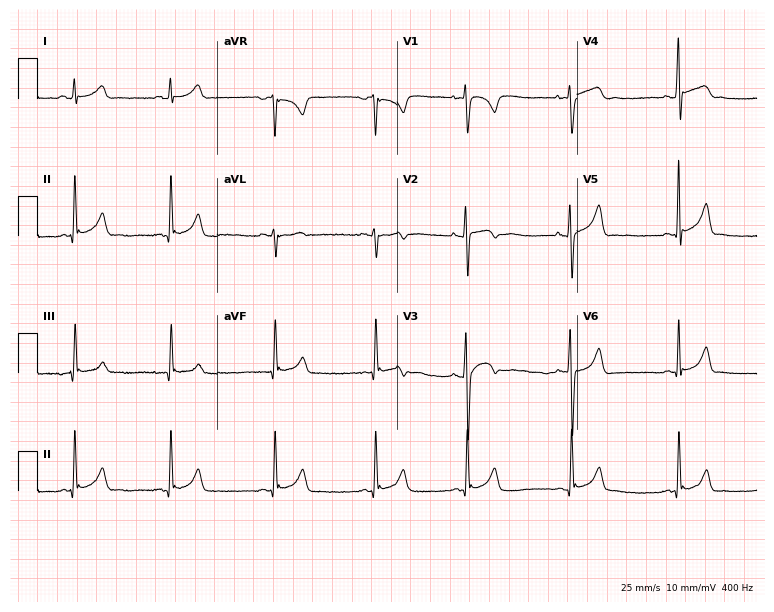
12-lead ECG from a male, 22 years old. Screened for six findings — first-degree AV block, right bundle branch block, left bundle branch block, sinus bradycardia, atrial fibrillation, sinus tachycardia — none is recorded. Only these six findings were labelled.